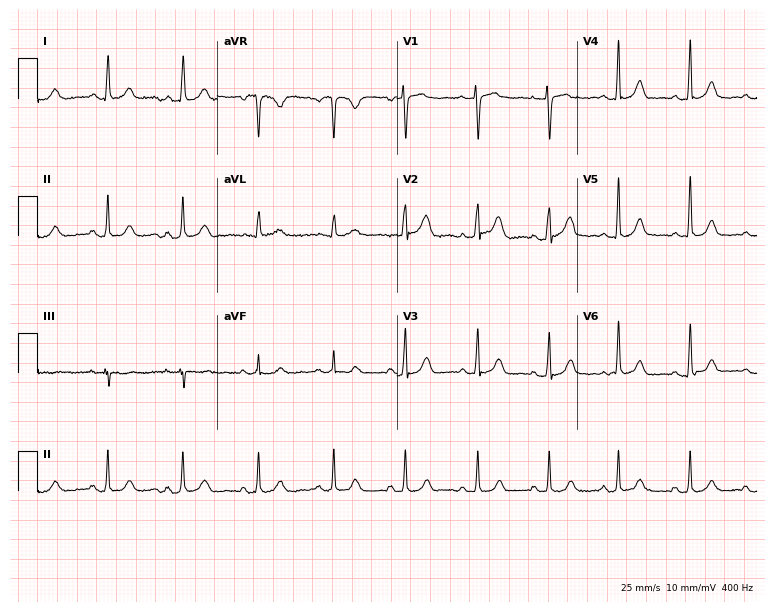
Electrocardiogram (7.3-second recording at 400 Hz), a 59-year-old female patient. Overall reading on record: normal ECG.